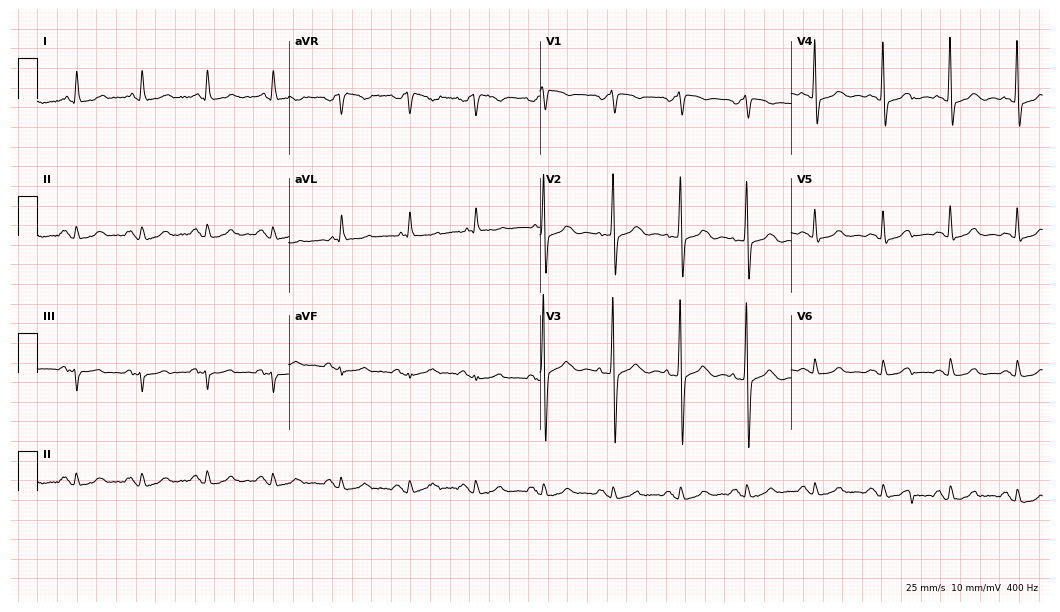
Electrocardiogram (10.2-second recording at 400 Hz), a woman, 68 years old. Overall reading on record: normal ECG.